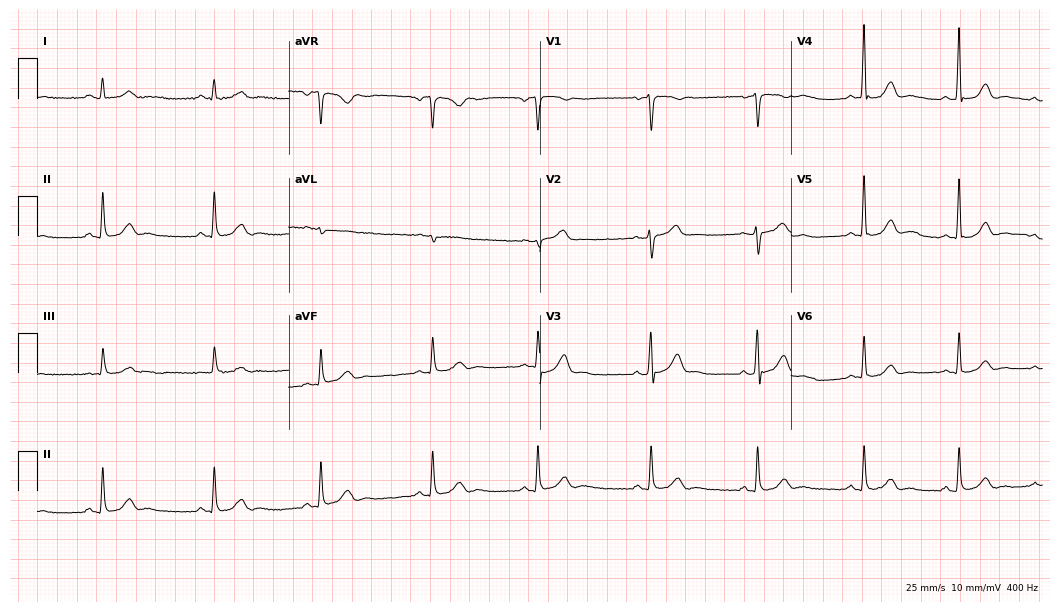
Resting 12-lead electrocardiogram (10.2-second recording at 400 Hz). Patient: a male, 47 years old. Read as a normal ECG.